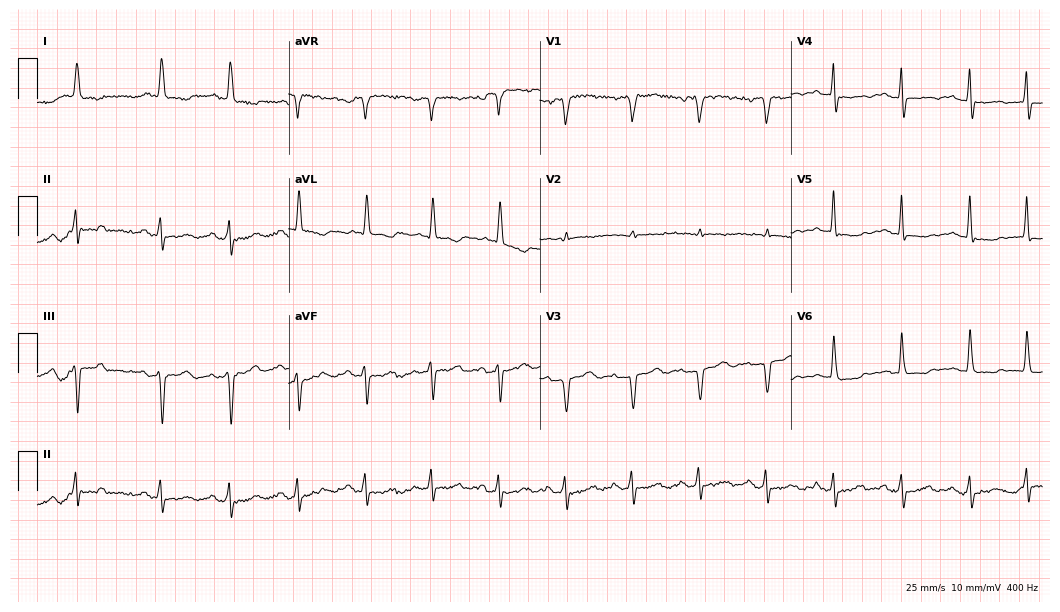
Standard 12-lead ECG recorded from a 74-year-old female. None of these six findings is recorded: first-degree AV block, right bundle branch block (RBBB), left bundle branch block (LBBB), sinus bradycardia, atrial fibrillation (AF), sinus tachycardia. Findings outside these six are not listed.